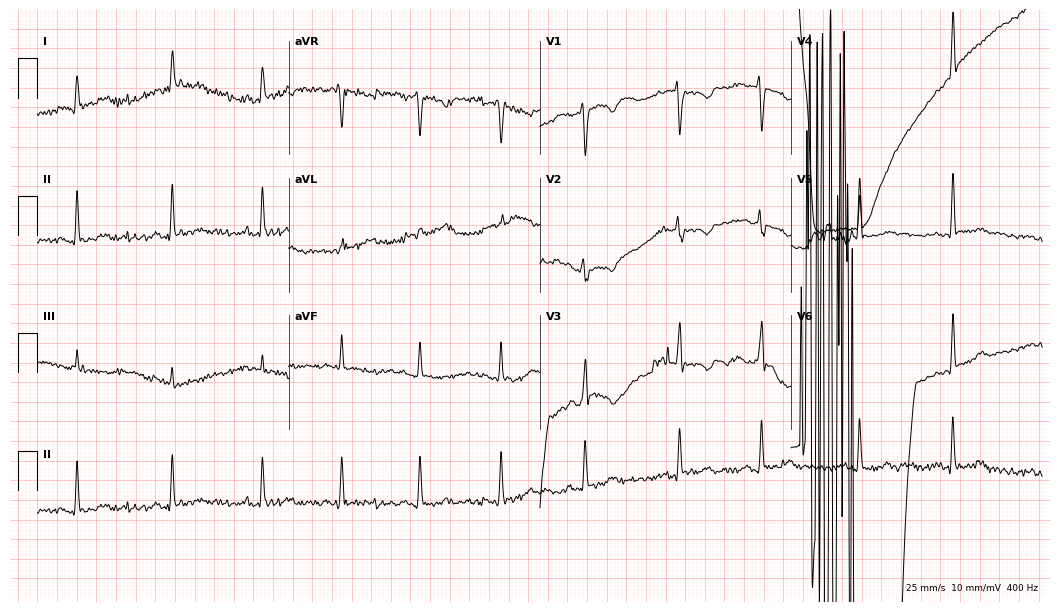
ECG (10.2-second recording at 400 Hz) — a 46-year-old female patient. Screened for six findings — first-degree AV block, right bundle branch block, left bundle branch block, sinus bradycardia, atrial fibrillation, sinus tachycardia — none is recorded. Other findings, if any, are not listed.